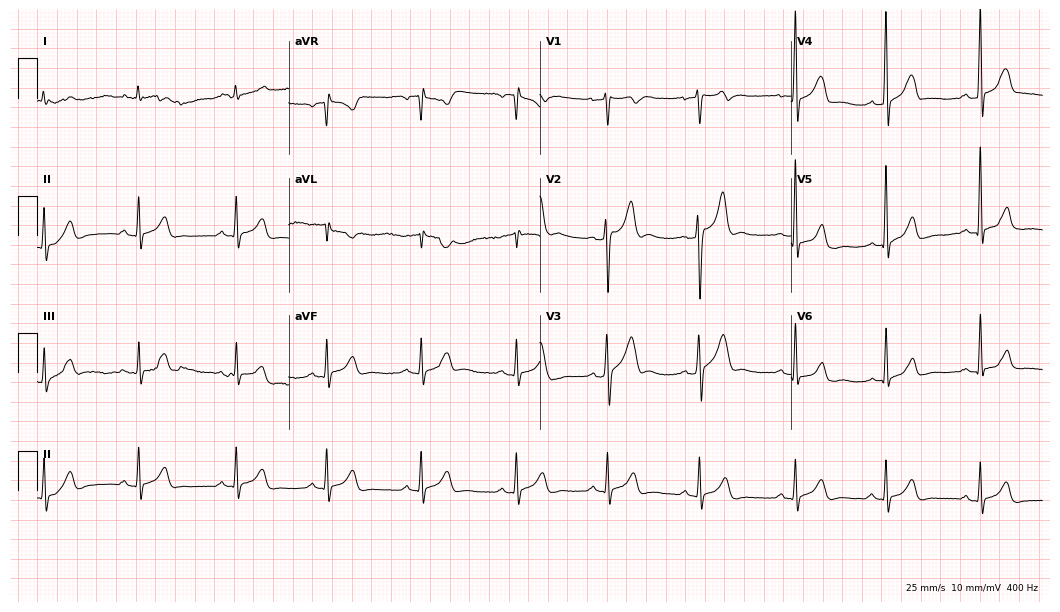
12-lead ECG (10.2-second recording at 400 Hz) from a 31-year-old male. Labelled as a normal ECG.